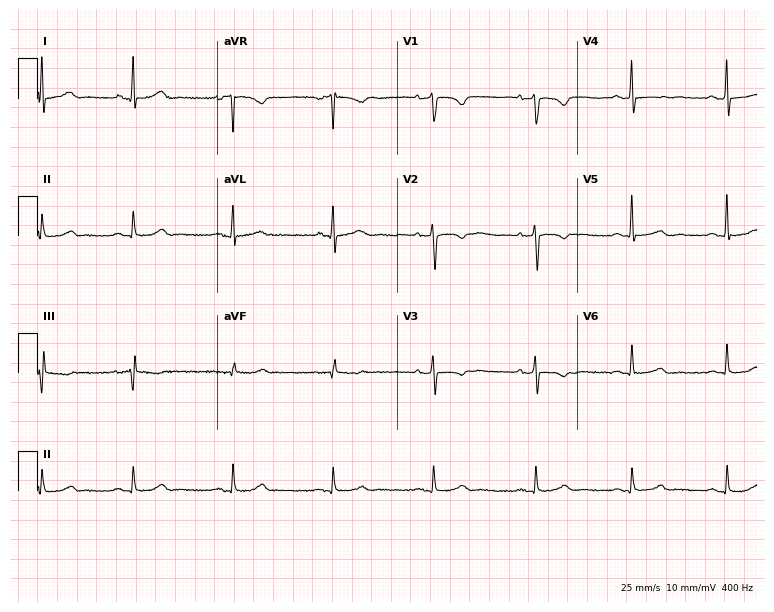
Resting 12-lead electrocardiogram. Patient: a 47-year-old female. None of these six findings is recorded: first-degree AV block, right bundle branch block, left bundle branch block, sinus bradycardia, atrial fibrillation, sinus tachycardia. Other findings, if any, are not listed.